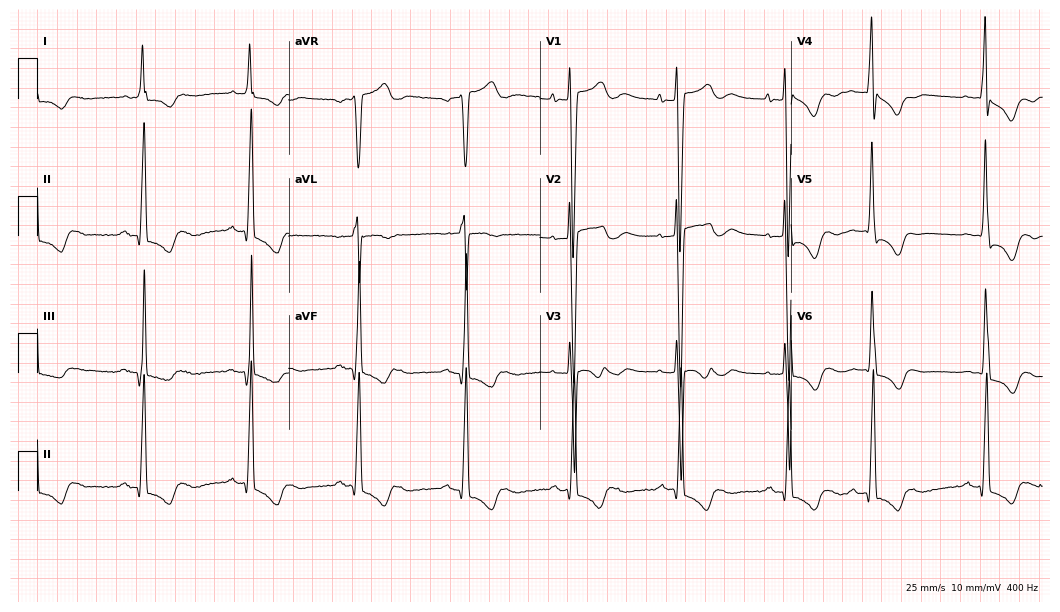
12-lead ECG from a female patient, 76 years old. Screened for six findings — first-degree AV block, right bundle branch block, left bundle branch block, sinus bradycardia, atrial fibrillation, sinus tachycardia — none is recorded. Only these six findings were labelled.